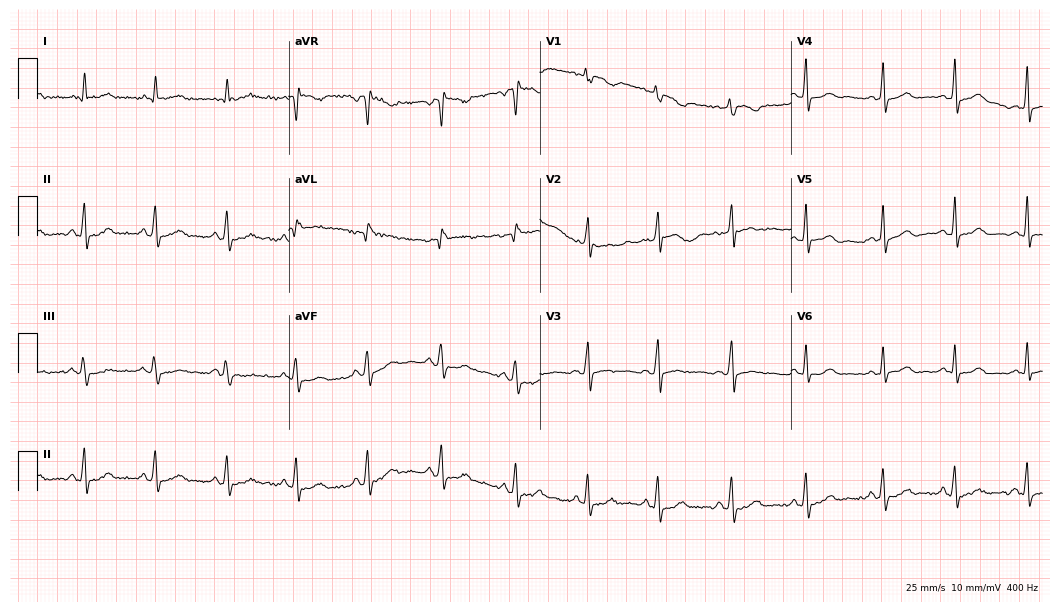
12-lead ECG from a 36-year-old female patient. Recorded interpretation: within normal limits.